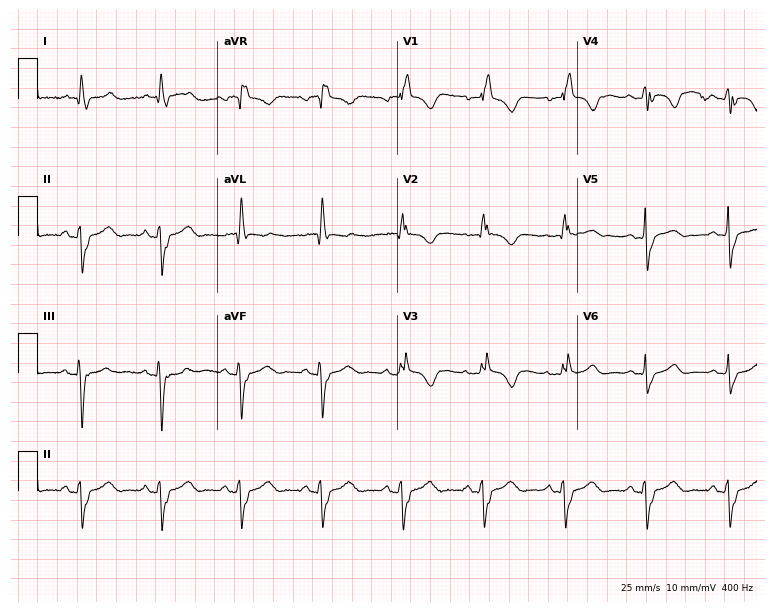
12-lead ECG from a woman, 38 years old. Findings include right bundle branch block (RBBB).